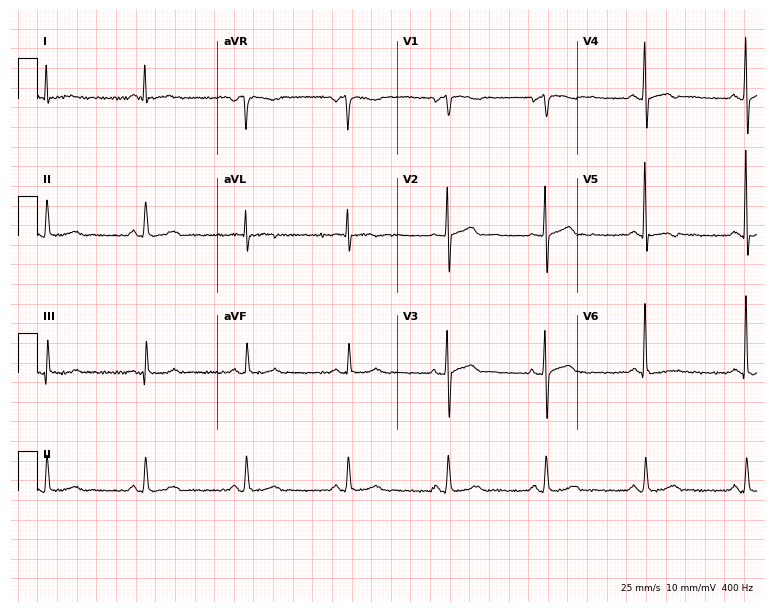
12-lead ECG from a woman, 58 years old. No first-degree AV block, right bundle branch block, left bundle branch block, sinus bradycardia, atrial fibrillation or sinus tachycardia recorded for this tracing.